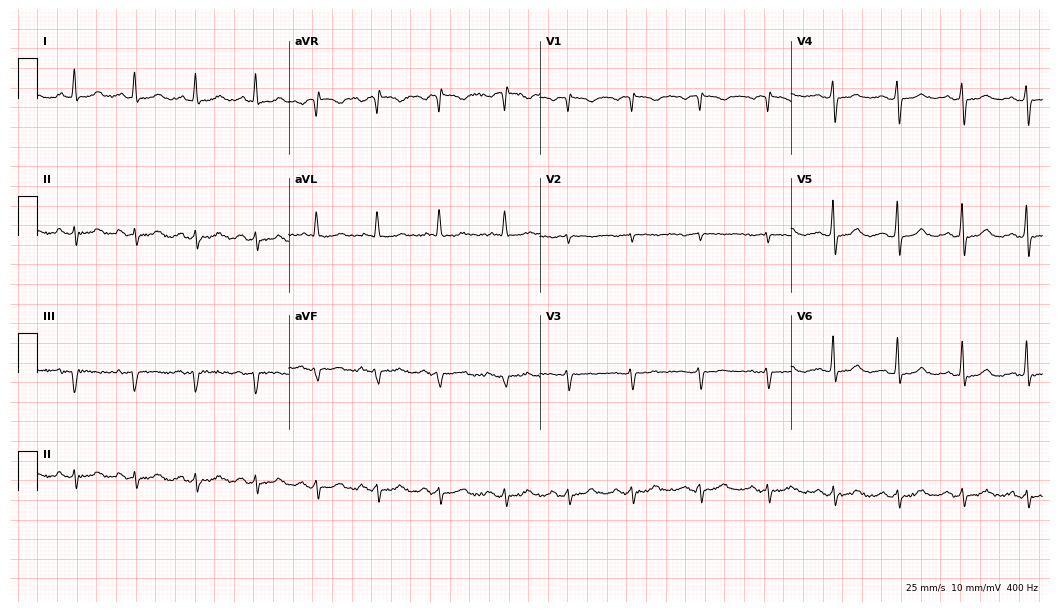
Resting 12-lead electrocardiogram. Patient: a 66-year-old female. None of these six findings is recorded: first-degree AV block, right bundle branch block, left bundle branch block, sinus bradycardia, atrial fibrillation, sinus tachycardia.